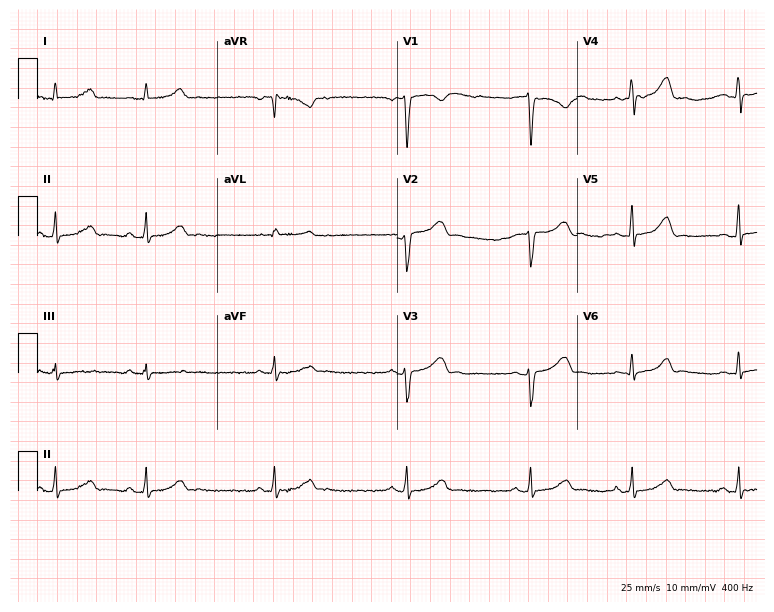
Standard 12-lead ECG recorded from a female, 19 years old. None of these six findings is recorded: first-degree AV block, right bundle branch block (RBBB), left bundle branch block (LBBB), sinus bradycardia, atrial fibrillation (AF), sinus tachycardia.